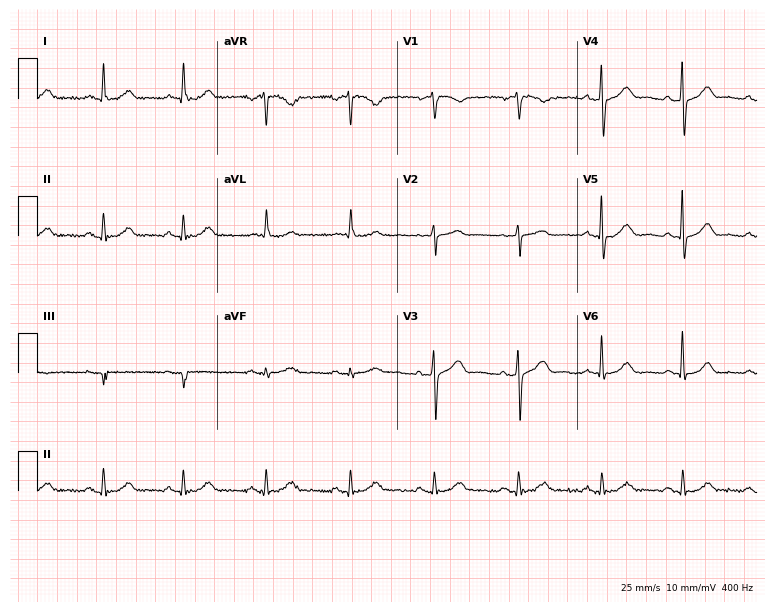
ECG — a female patient, 69 years old. Labelled as a normal ECG.